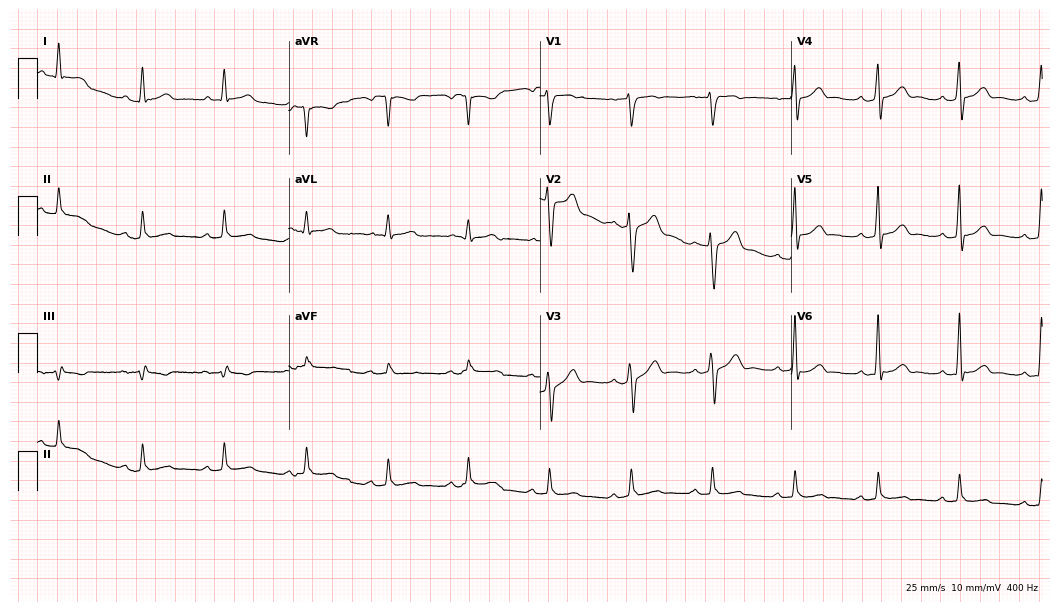
12-lead ECG from a man, 43 years old. Labelled as a normal ECG.